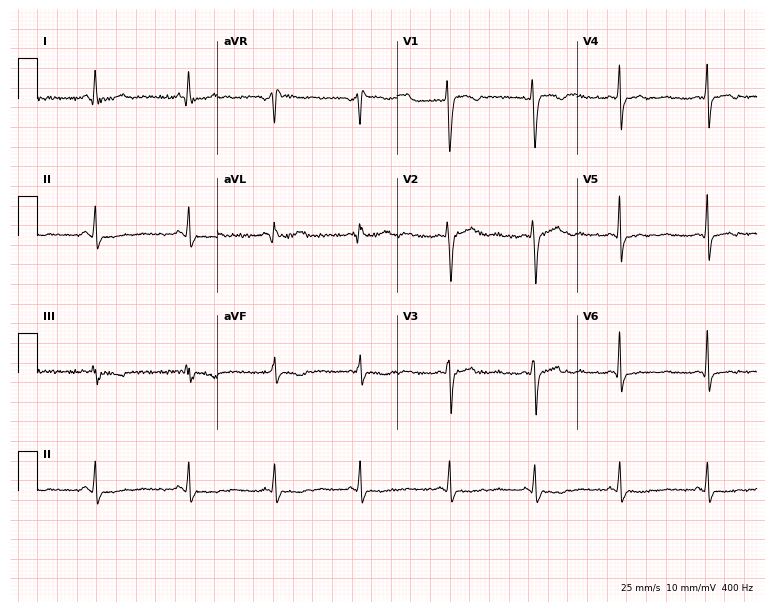
12-lead ECG from a female patient, 37 years old. Screened for six findings — first-degree AV block, right bundle branch block, left bundle branch block, sinus bradycardia, atrial fibrillation, sinus tachycardia — none is recorded. Other findings, if any, are not listed.